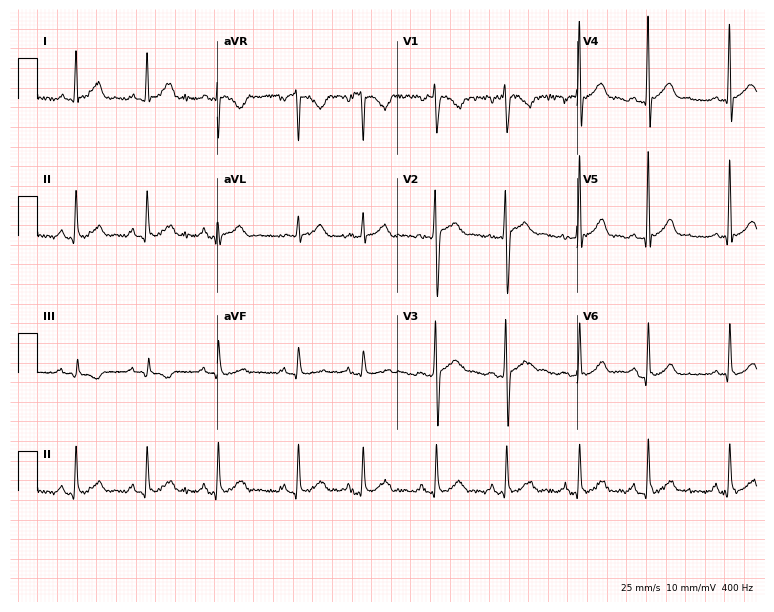
Standard 12-lead ECG recorded from a 31-year-old man. Read as a normal ECG.